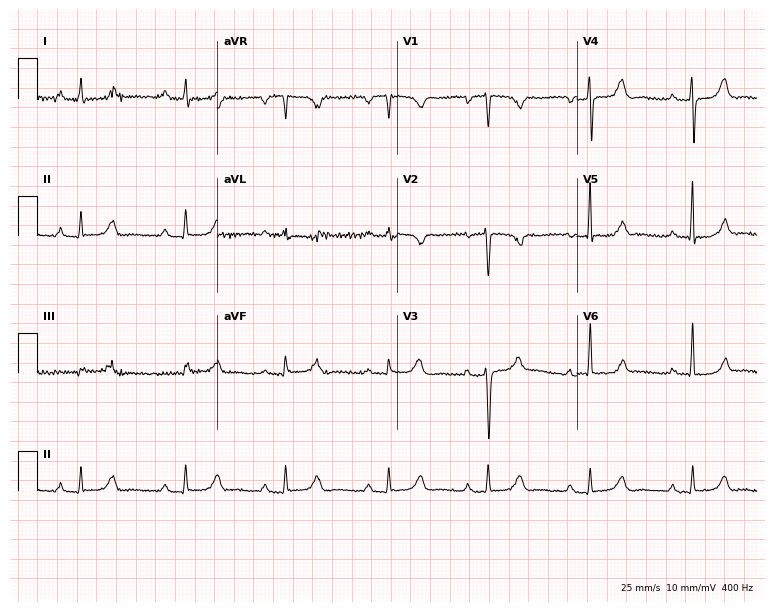
Electrocardiogram, a 28-year-old female. Interpretation includes first-degree AV block.